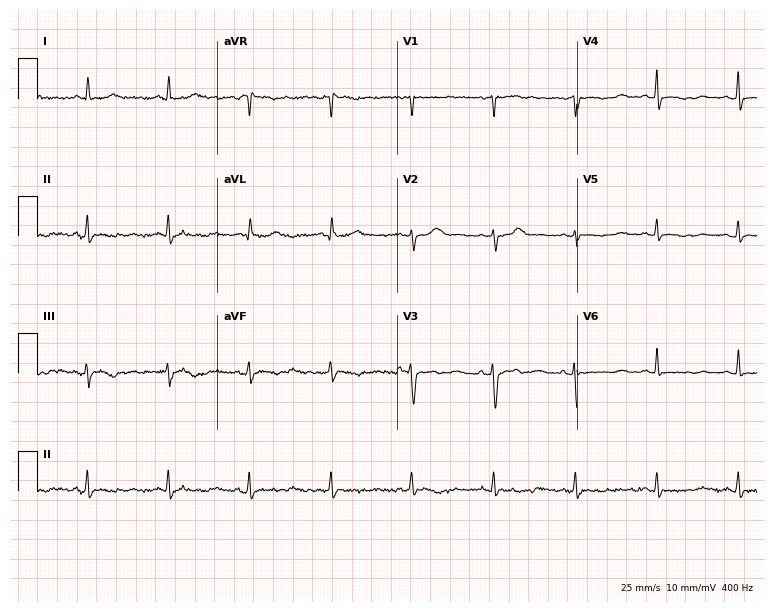
ECG (7.3-second recording at 400 Hz) — a female patient, 62 years old. Screened for six findings — first-degree AV block, right bundle branch block, left bundle branch block, sinus bradycardia, atrial fibrillation, sinus tachycardia — none is recorded. Only these six findings were labelled.